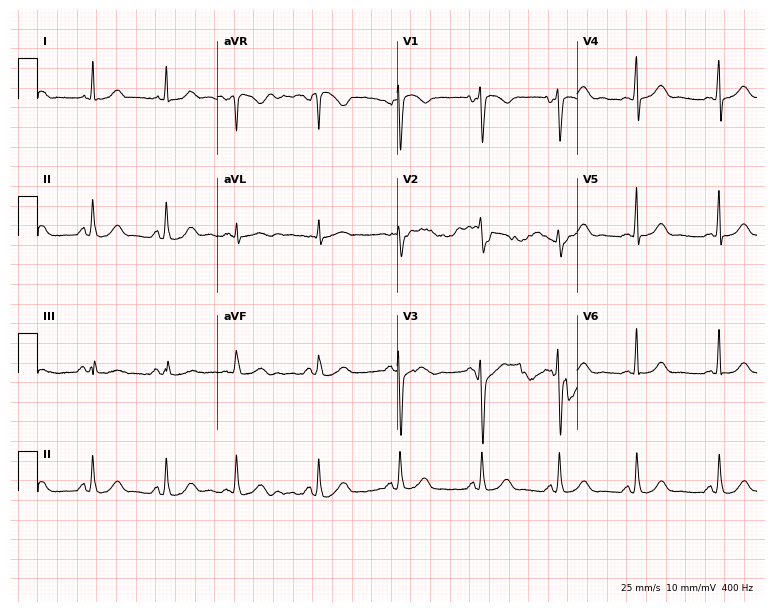
ECG — a 45-year-old woman. Screened for six findings — first-degree AV block, right bundle branch block, left bundle branch block, sinus bradycardia, atrial fibrillation, sinus tachycardia — none is recorded.